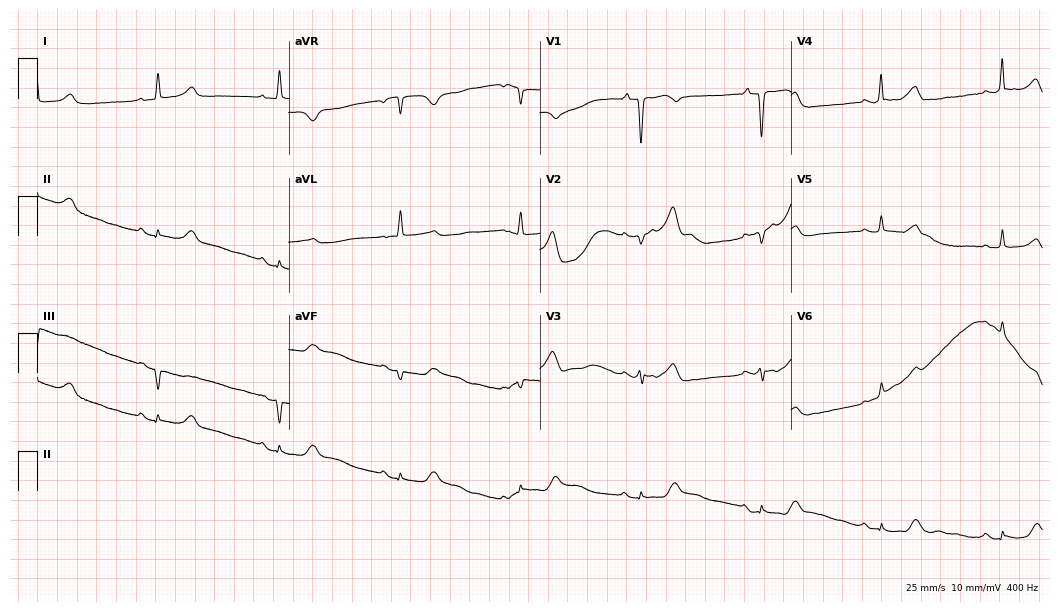
Standard 12-lead ECG recorded from a 73-year-old male. The tracing shows sinus bradycardia (a sinus rate of 50 beats per minute or less).